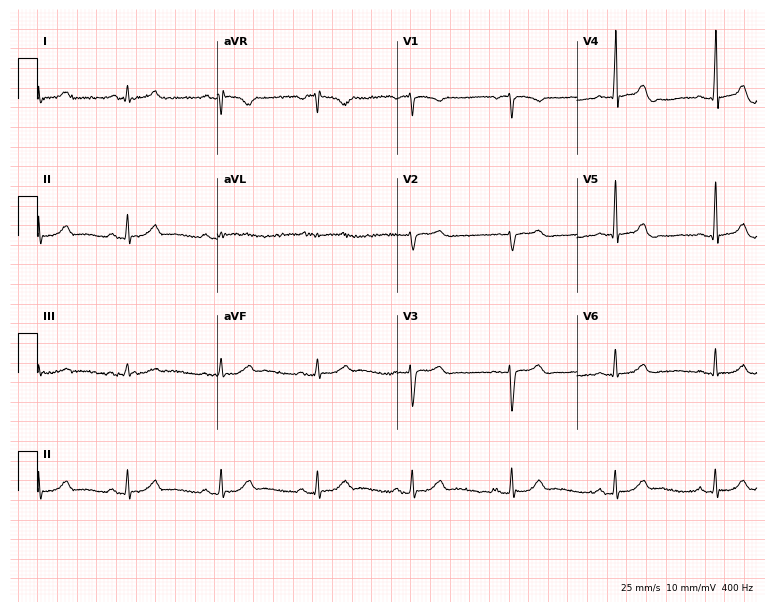
Standard 12-lead ECG recorded from a 37-year-old woman. Read as a normal ECG.